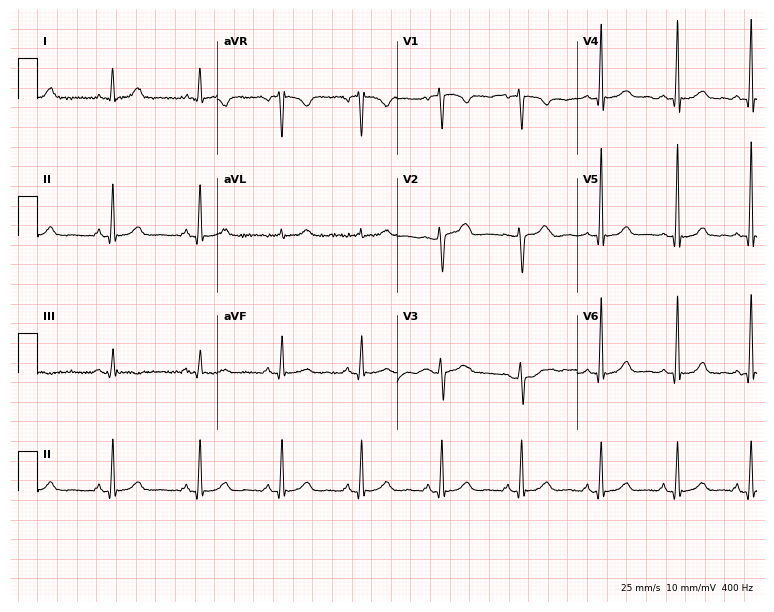
Resting 12-lead electrocardiogram (7.3-second recording at 400 Hz). Patient: a 54-year-old woman. Read as a normal ECG.